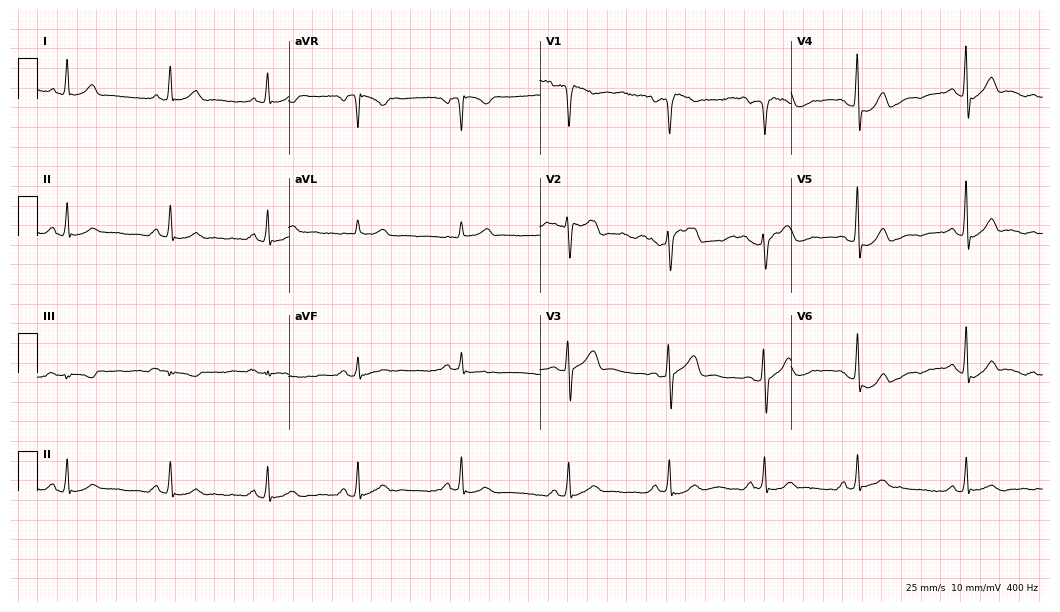
Standard 12-lead ECG recorded from a male patient, 39 years old (10.2-second recording at 400 Hz). Read as a normal ECG.